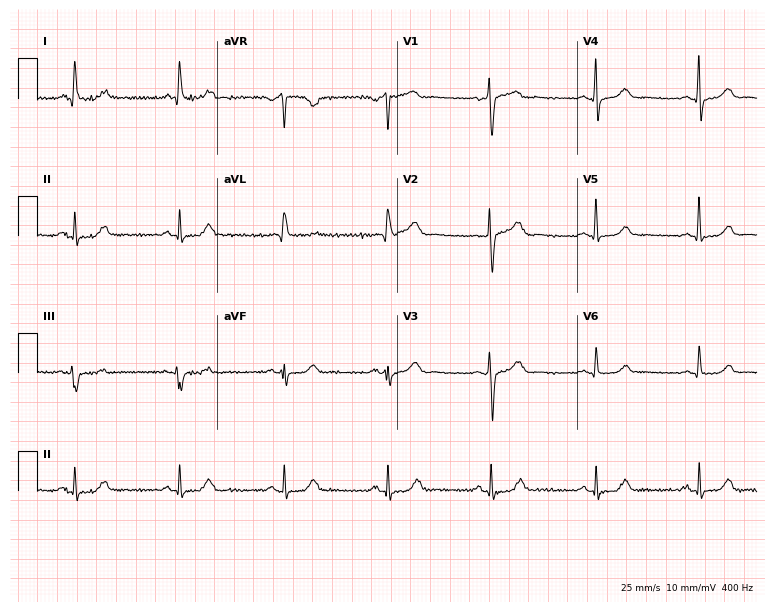
Resting 12-lead electrocardiogram (7.3-second recording at 400 Hz). Patient: a female, 65 years old. Read as a normal ECG.